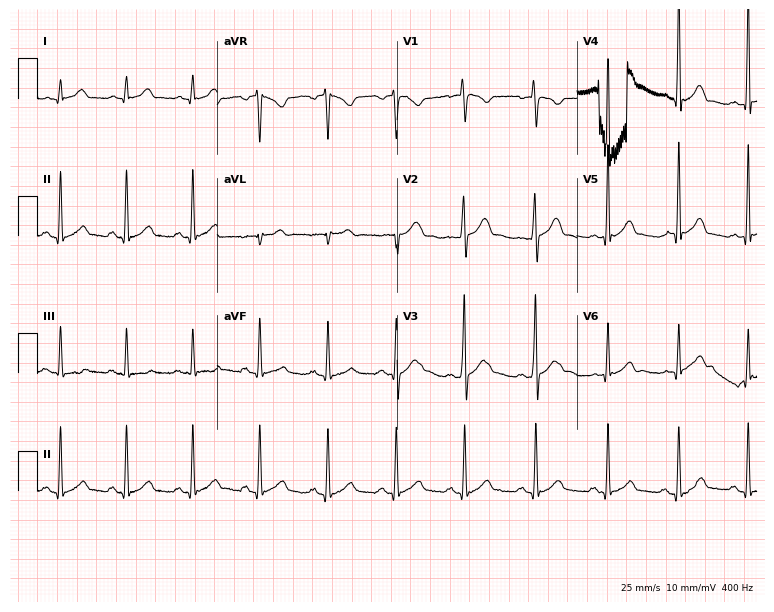
12-lead ECG from a male, 33 years old. Recorded interpretation: within normal limits.